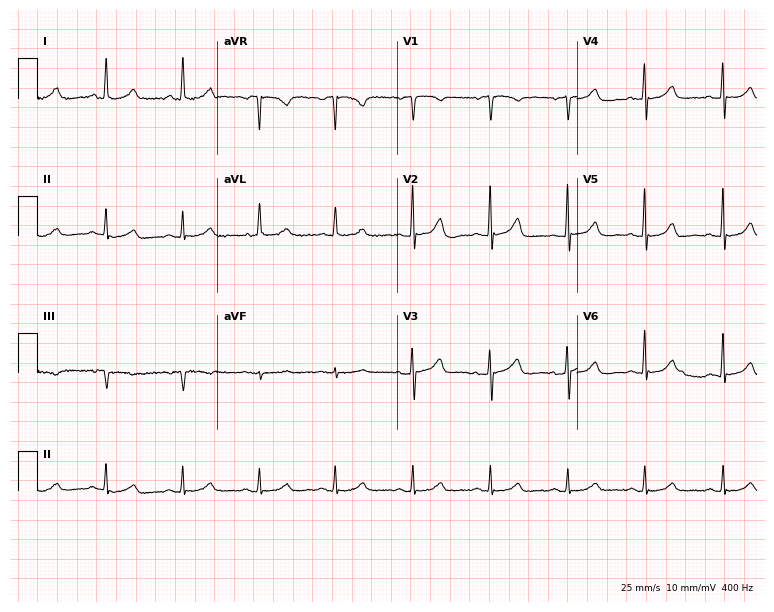
Electrocardiogram (7.3-second recording at 400 Hz), a 70-year-old woman. Of the six screened findings (first-degree AV block, right bundle branch block, left bundle branch block, sinus bradycardia, atrial fibrillation, sinus tachycardia), none is recorded. Other findings, if any, are not listed.